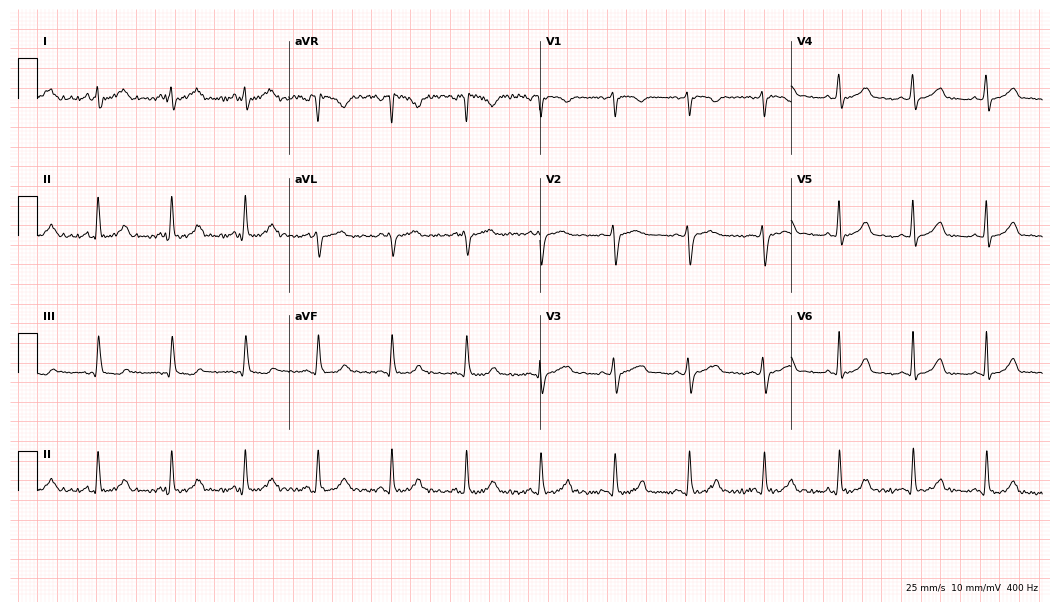
Resting 12-lead electrocardiogram (10.2-second recording at 400 Hz). Patient: a 44-year-old female. Read as a normal ECG.